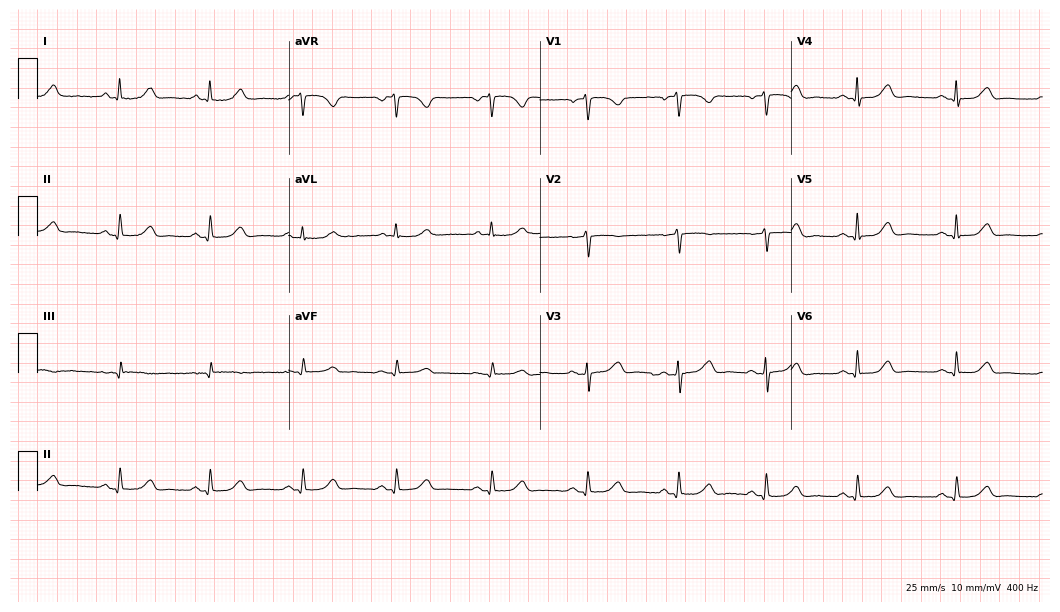
Standard 12-lead ECG recorded from a 50-year-old female. Read as a normal ECG.